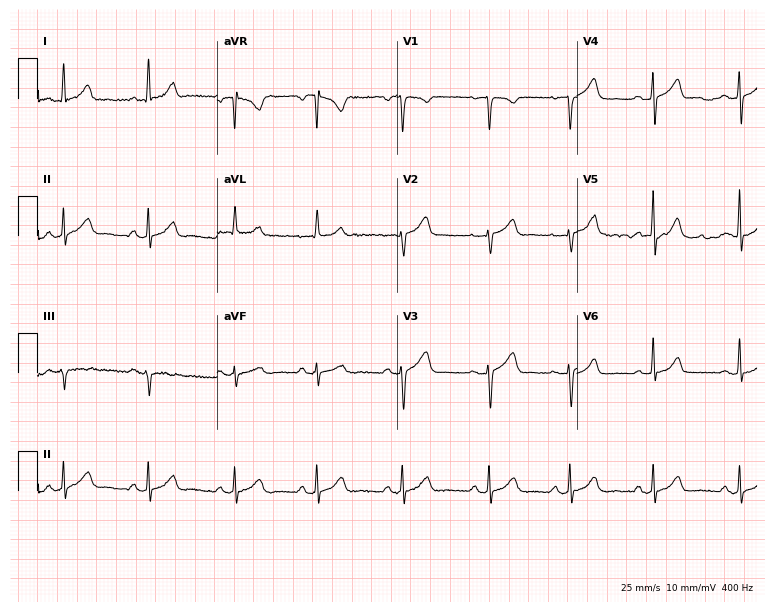
Resting 12-lead electrocardiogram. Patient: a 36-year-old woman. Read as a normal ECG.